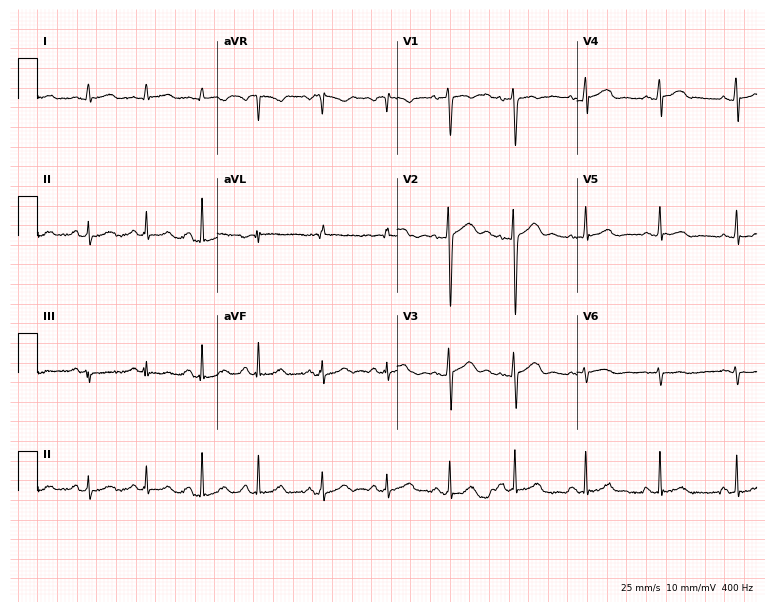
ECG (7.3-second recording at 400 Hz) — a female patient, 27 years old. Labelled as a normal ECG.